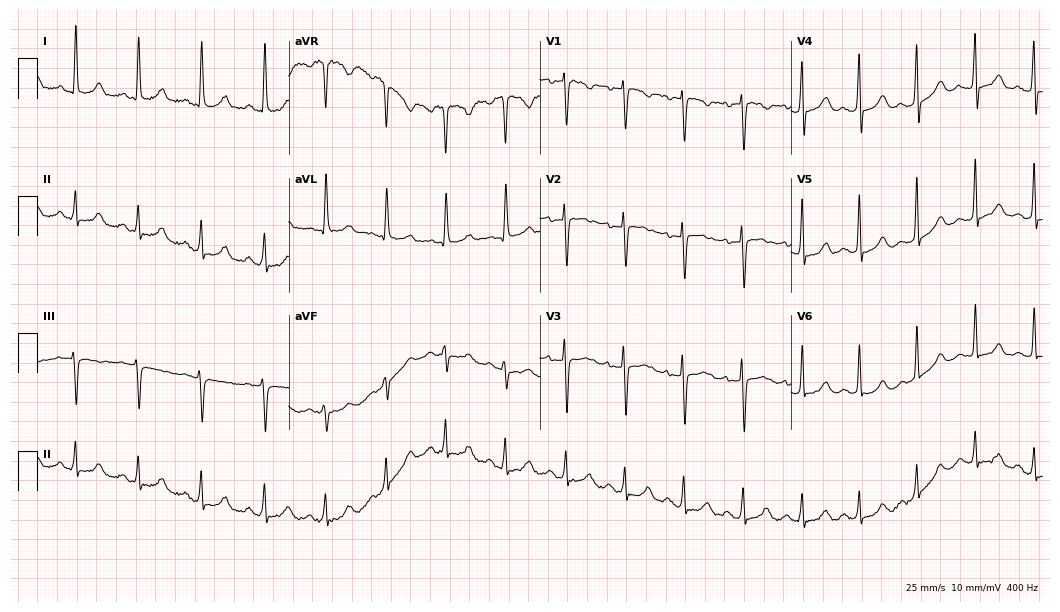
Standard 12-lead ECG recorded from a female patient, 30 years old. None of these six findings is recorded: first-degree AV block, right bundle branch block (RBBB), left bundle branch block (LBBB), sinus bradycardia, atrial fibrillation (AF), sinus tachycardia. Only these six findings were labelled.